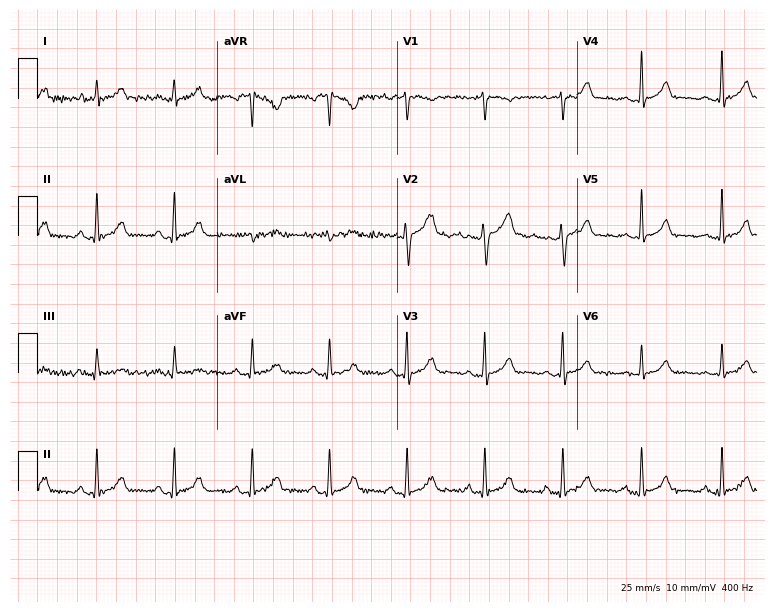
ECG (7.3-second recording at 400 Hz) — a female patient, 34 years old. Labelled as a normal ECG.